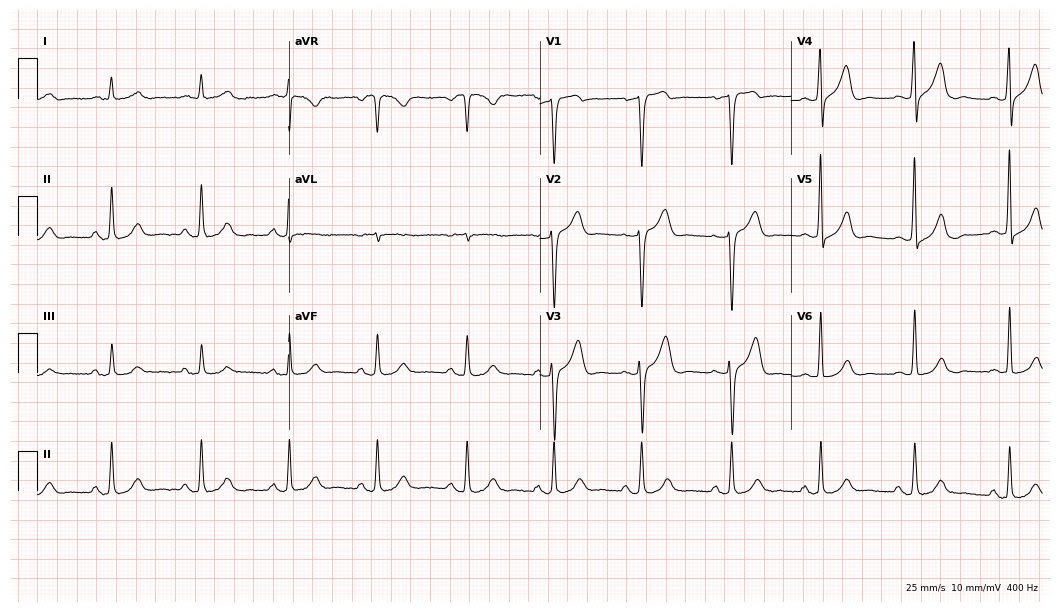
ECG (10.2-second recording at 400 Hz) — a 64-year-old man. Screened for six findings — first-degree AV block, right bundle branch block, left bundle branch block, sinus bradycardia, atrial fibrillation, sinus tachycardia — none is recorded. Only these six findings were labelled.